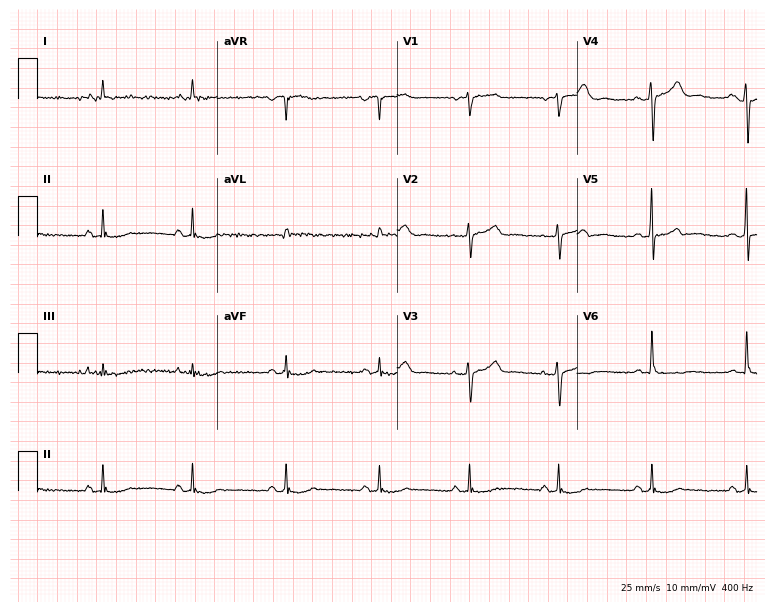
Standard 12-lead ECG recorded from a female patient, 65 years old. Read as a normal ECG.